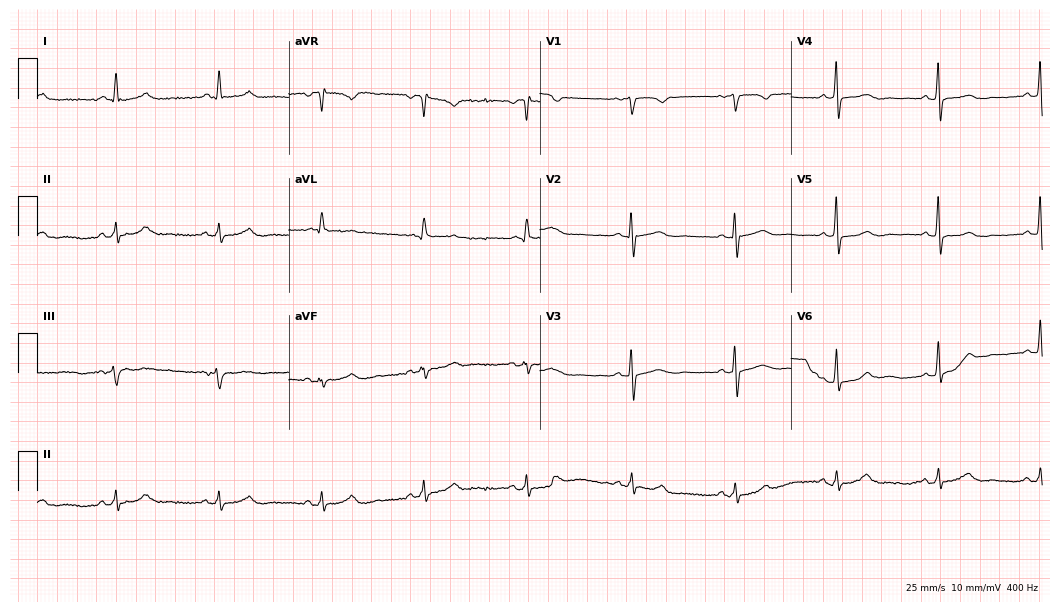
Standard 12-lead ECG recorded from a 75-year-old female. Read as a normal ECG.